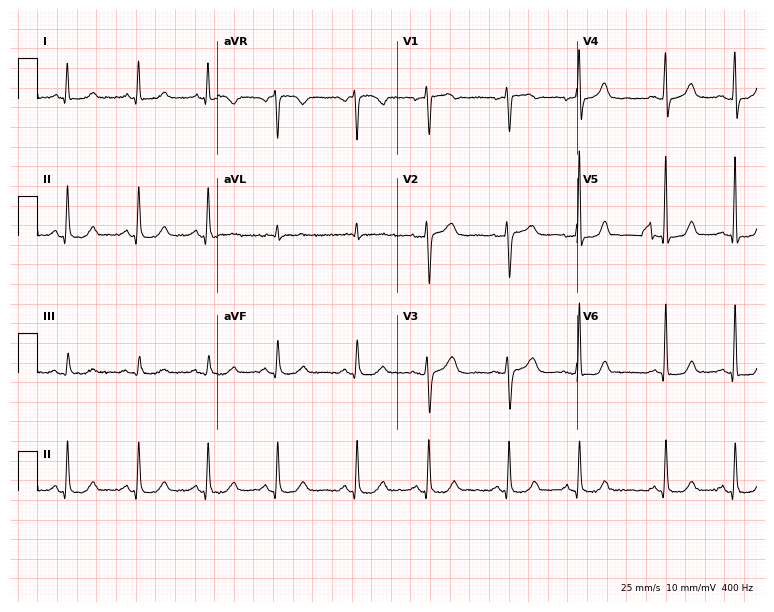
Resting 12-lead electrocardiogram (7.3-second recording at 400 Hz). Patient: a 49-year-old female. None of these six findings is recorded: first-degree AV block, right bundle branch block (RBBB), left bundle branch block (LBBB), sinus bradycardia, atrial fibrillation (AF), sinus tachycardia.